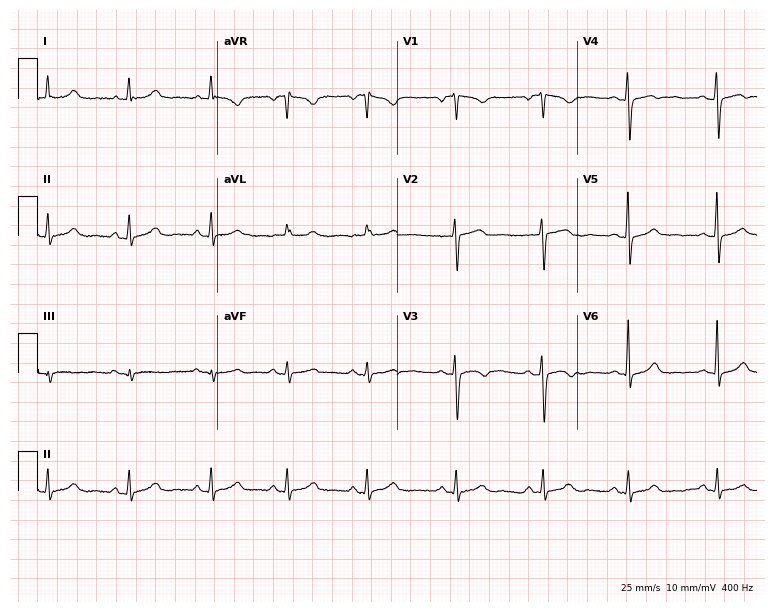
12-lead ECG (7.3-second recording at 400 Hz) from a female patient, 47 years old. Labelled as a normal ECG.